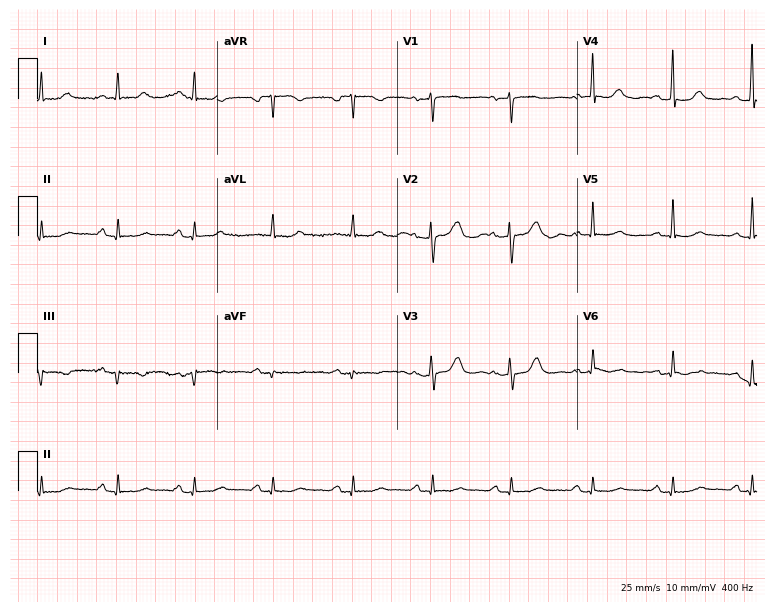
ECG — a 79-year-old female. Screened for six findings — first-degree AV block, right bundle branch block, left bundle branch block, sinus bradycardia, atrial fibrillation, sinus tachycardia — none is recorded. Other findings, if any, are not listed.